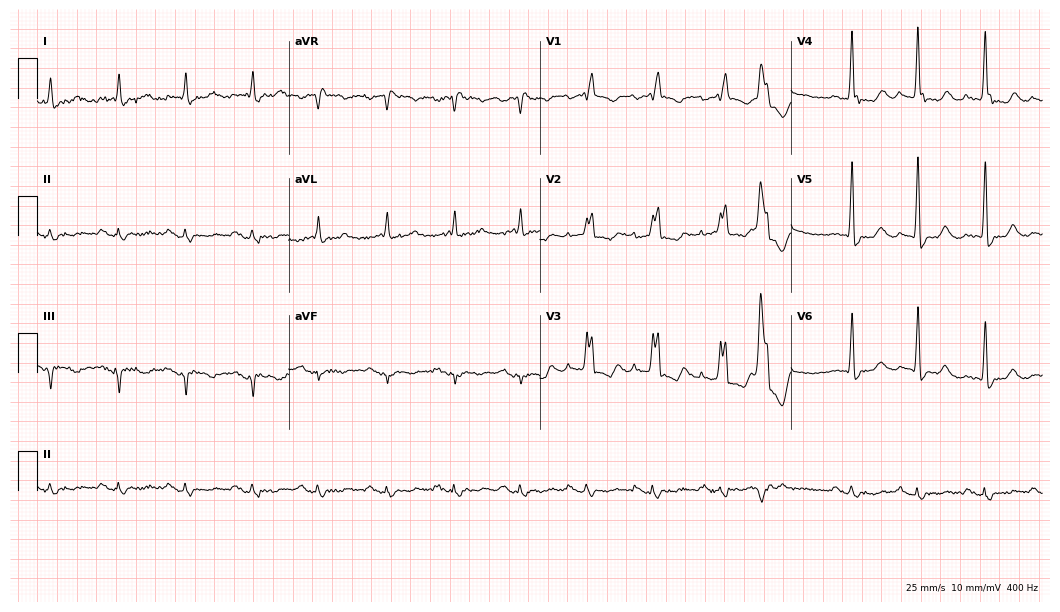
Resting 12-lead electrocardiogram (10.2-second recording at 400 Hz). Patient: a male, 75 years old. The tracing shows right bundle branch block (RBBB), atrial fibrillation (AF).